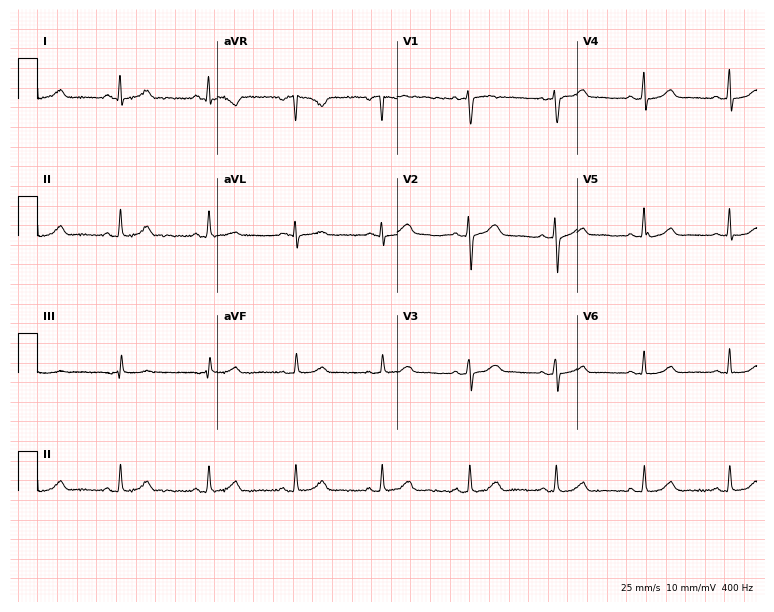
12-lead ECG from a woman, 52 years old (7.3-second recording at 400 Hz). Recorded interpretation: within normal limits.